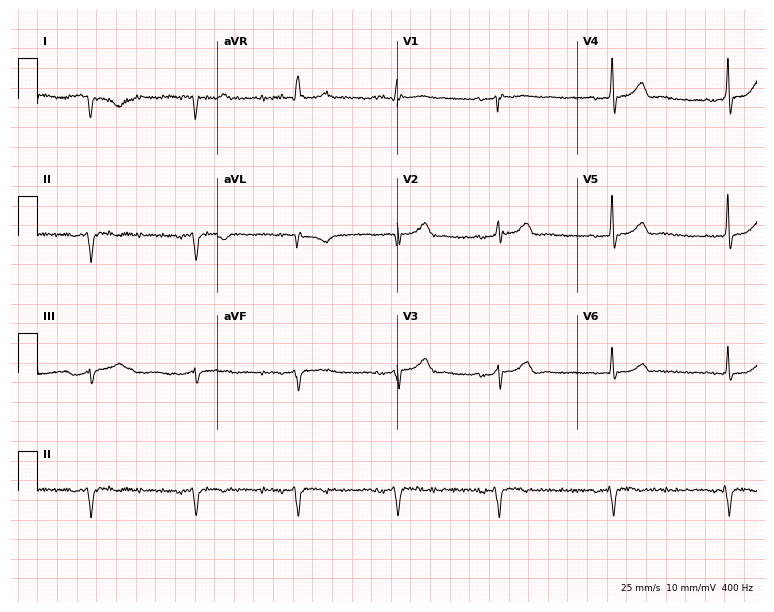
Standard 12-lead ECG recorded from a female, 73 years old. None of these six findings is recorded: first-degree AV block, right bundle branch block (RBBB), left bundle branch block (LBBB), sinus bradycardia, atrial fibrillation (AF), sinus tachycardia.